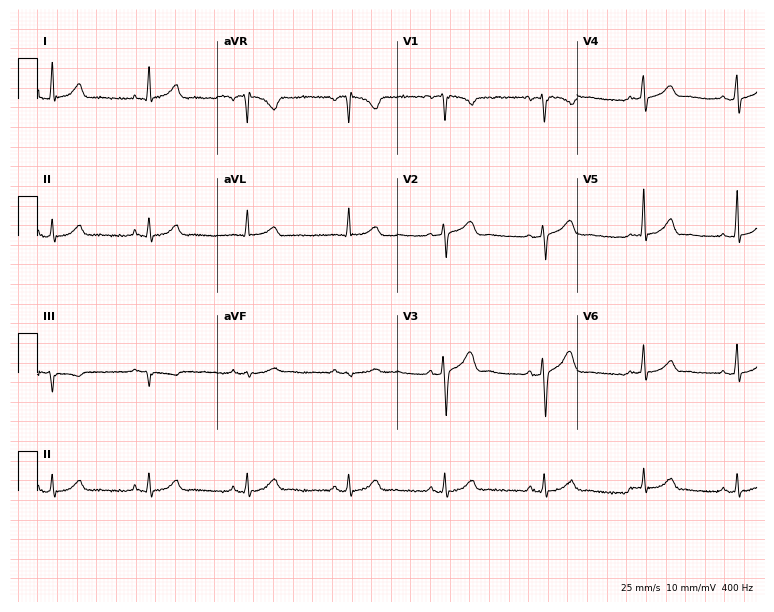
Resting 12-lead electrocardiogram (7.3-second recording at 400 Hz). Patient: a 34-year-old male. Read as a normal ECG.